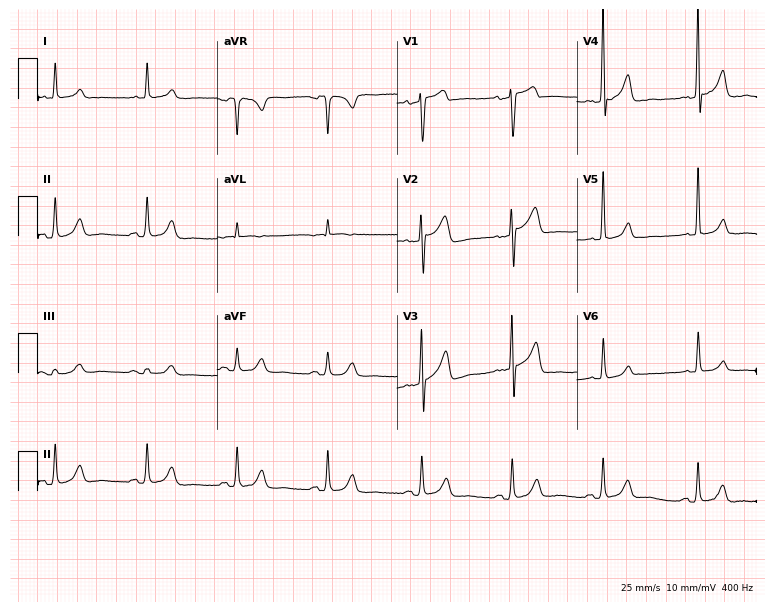
12-lead ECG (7.3-second recording at 400 Hz) from a male patient, 70 years old. Screened for six findings — first-degree AV block, right bundle branch block, left bundle branch block, sinus bradycardia, atrial fibrillation, sinus tachycardia — none is recorded.